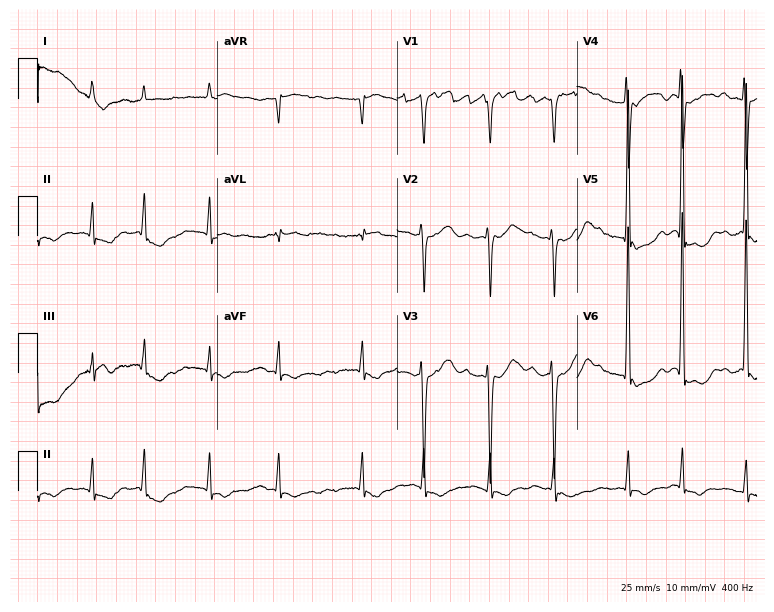
12-lead ECG from a female patient, 85 years old. Shows atrial fibrillation (AF).